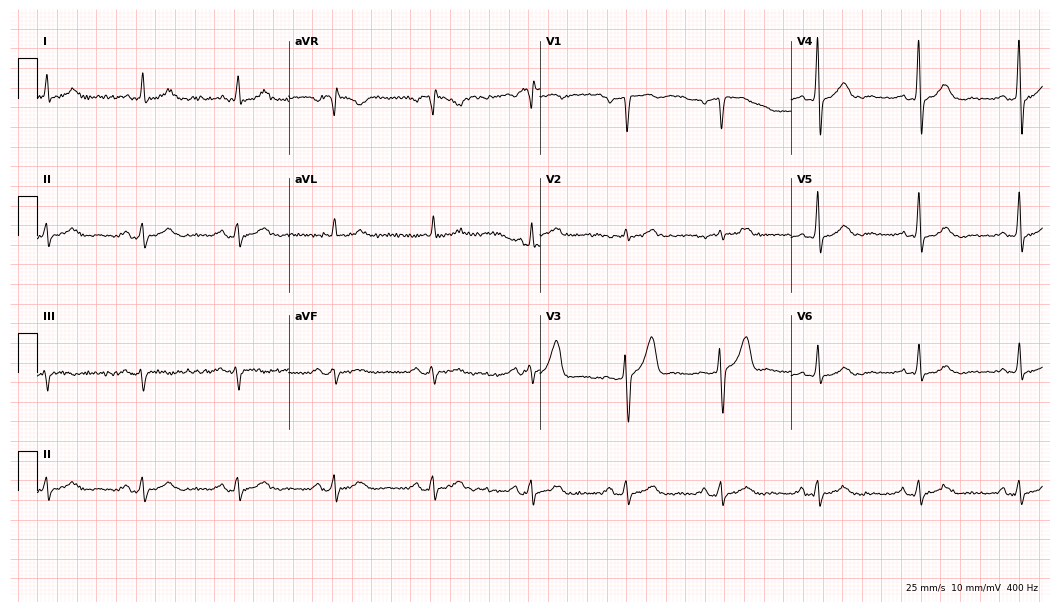
12-lead ECG (10.2-second recording at 400 Hz) from a male patient, 61 years old. Labelled as a normal ECG.